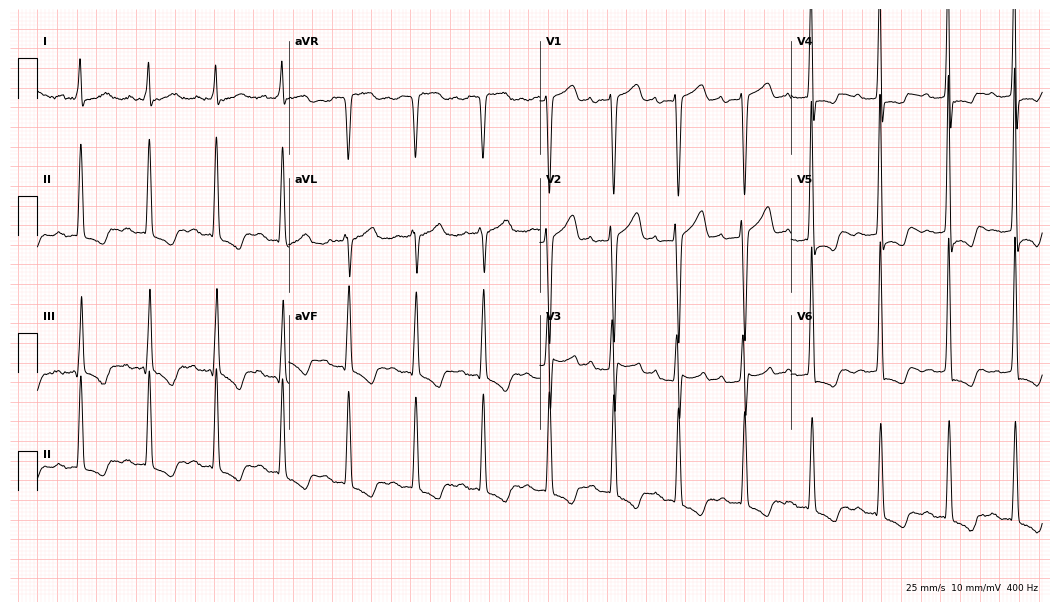
Electrocardiogram, a female patient, 82 years old. Of the six screened findings (first-degree AV block, right bundle branch block, left bundle branch block, sinus bradycardia, atrial fibrillation, sinus tachycardia), none is recorded. Findings outside these six are not listed.